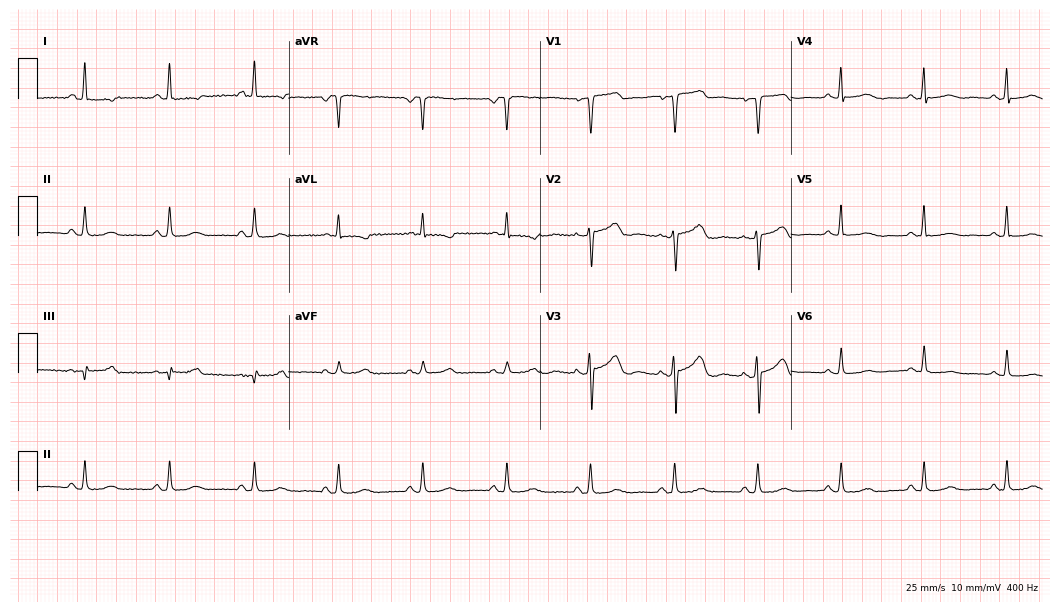
ECG — a 69-year-old female. Screened for six findings — first-degree AV block, right bundle branch block, left bundle branch block, sinus bradycardia, atrial fibrillation, sinus tachycardia — none is recorded. Findings outside these six are not listed.